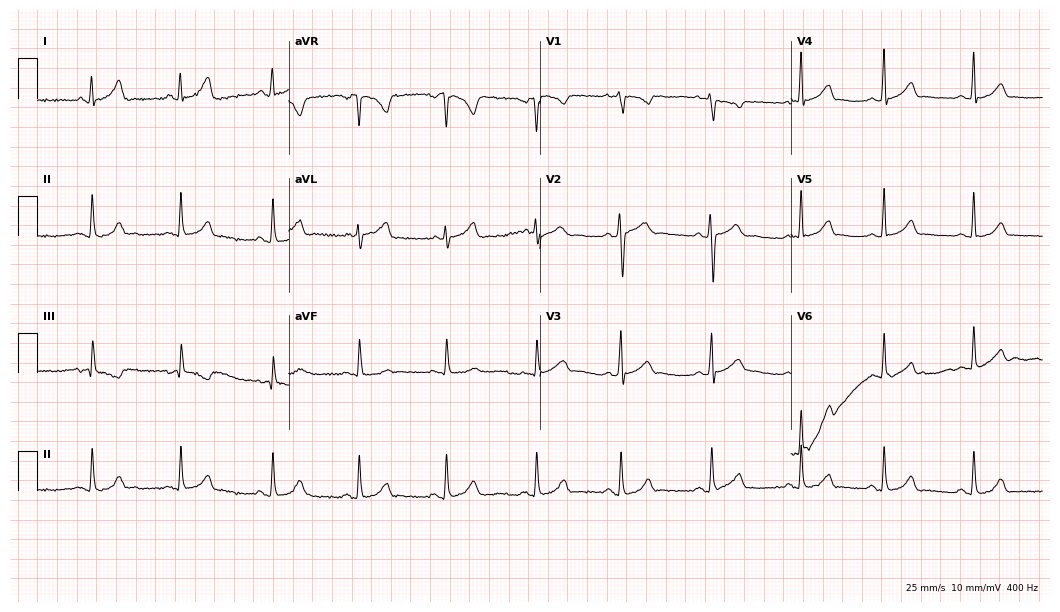
ECG — a woman, 17 years old. Labelled as a normal ECG.